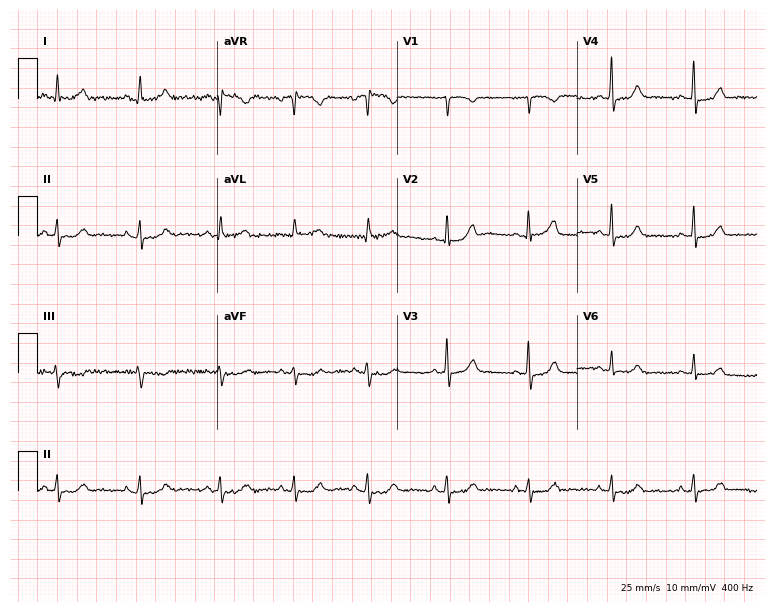
12-lead ECG (7.3-second recording at 400 Hz) from a woman, 65 years old. Screened for six findings — first-degree AV block, right bundle branch block, left bundle branch block, sinus bradycardia, atrial fibrillation, sinus tachycardia — none is recorded. Findings outside these six are not listed.